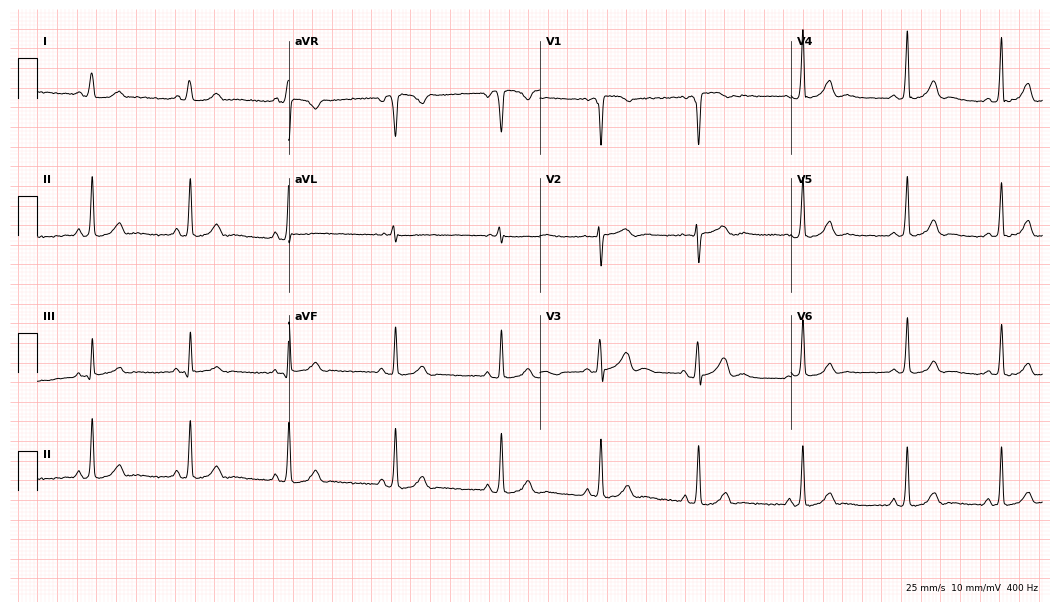
12-lead ECG from a 21-year-old female patient. Labelled as a normal ECG.